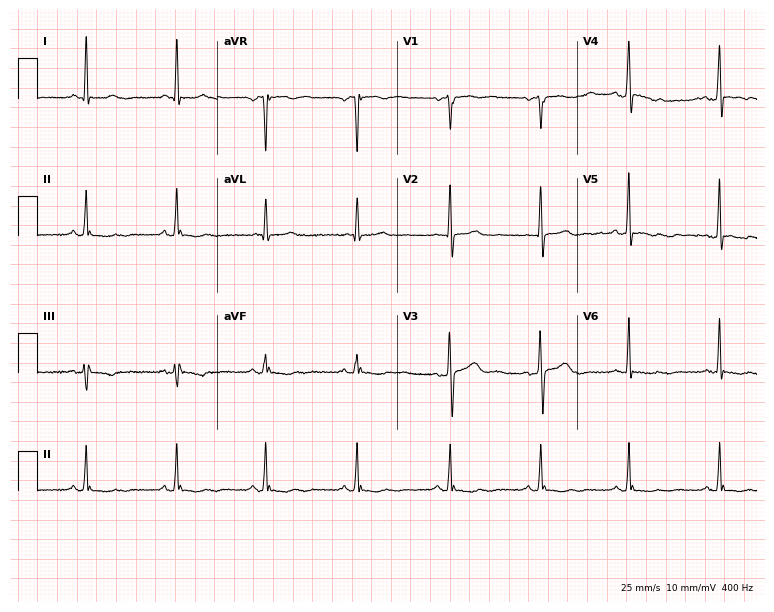
Standard 12-lead ECG recorded from a 70-year-old female. None of these six findings is recorded: first-degree AV block, right bundle branch block, left bundle branch block, sinus bradycardia, atrial fibrillation, sinus tachycardia.